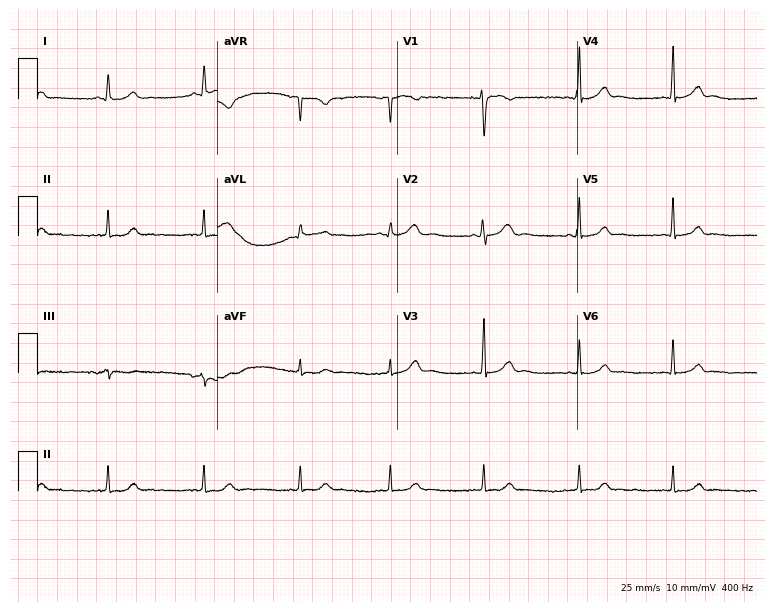
Standard 12-lead ECG recorded from a female patient, 28 years old (7.3-second recording at 400 Hz). Read as a normal ECG.